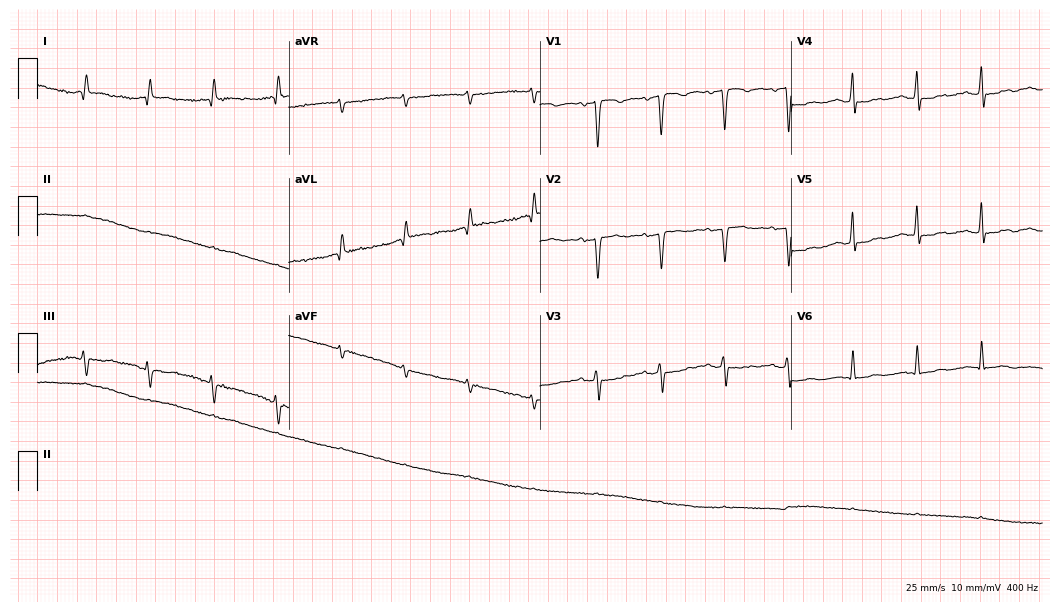
Resting 12-lead electrocardiogram. Patient: a female, 57 years old. None of these six findings is recorded: first-degree AV block, right bundle branch block, left bundle branch block, sinus bradycardia, atrial fibrillation, sinus tachycardia.